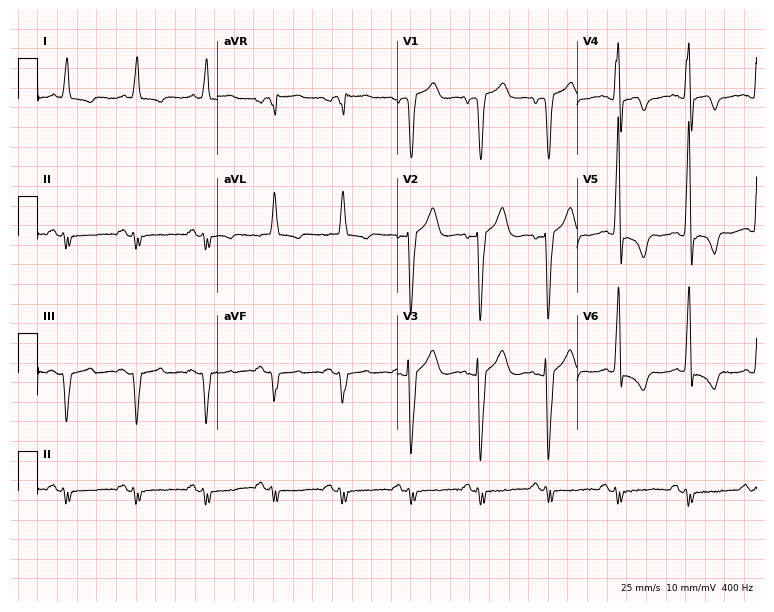
12-lead ECG from an 83-year-old man. Screened for six findings — first-degree AV block, right bundle branch block (RBBB), left bundle branch block (LBBB), sinus bradycardia, atrial fibrillation (AF), sinus tachycardia — none is recorded. Only these six findings were labelled.